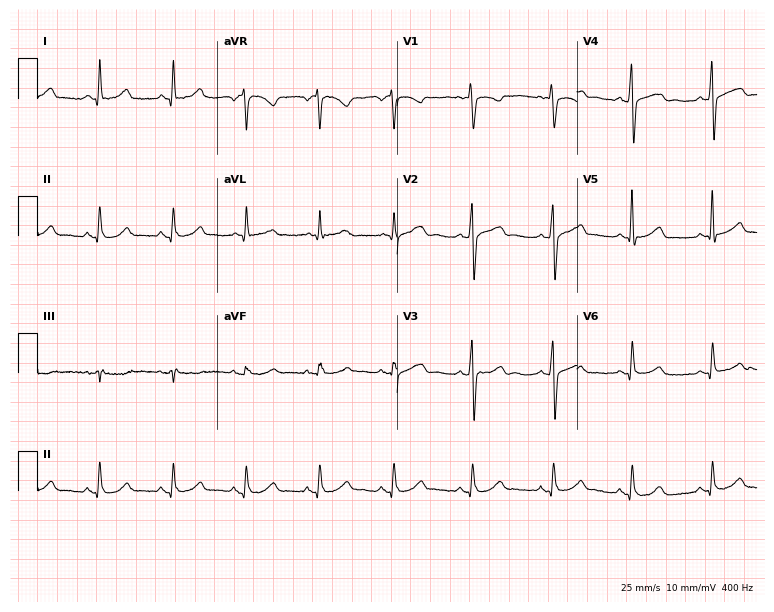
ECG (7.3-second recording at 400 Hz) — a female, 39 years old. Labelled as a normal ECG.